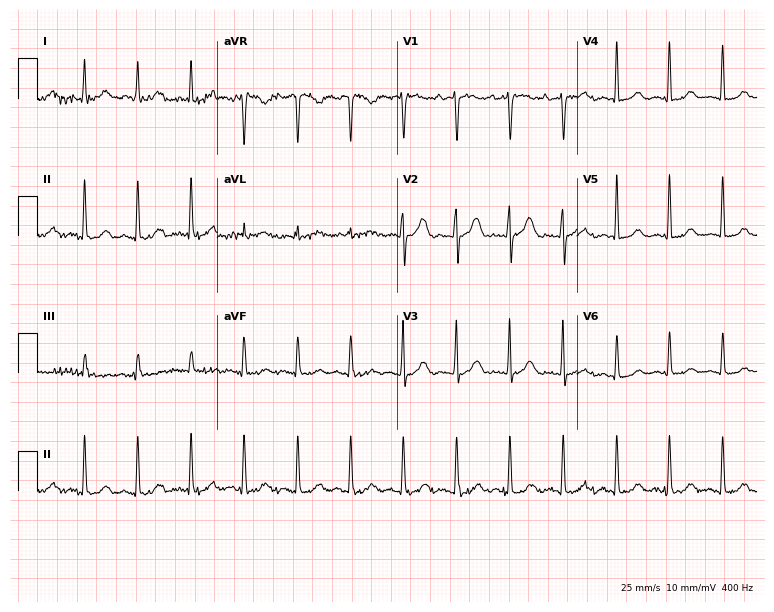
Standard 12-lead ECG recorded from an 84-year-old woman. The tracing shows sinus tachycardia (a sinus rate of 100 beats per minute or more).